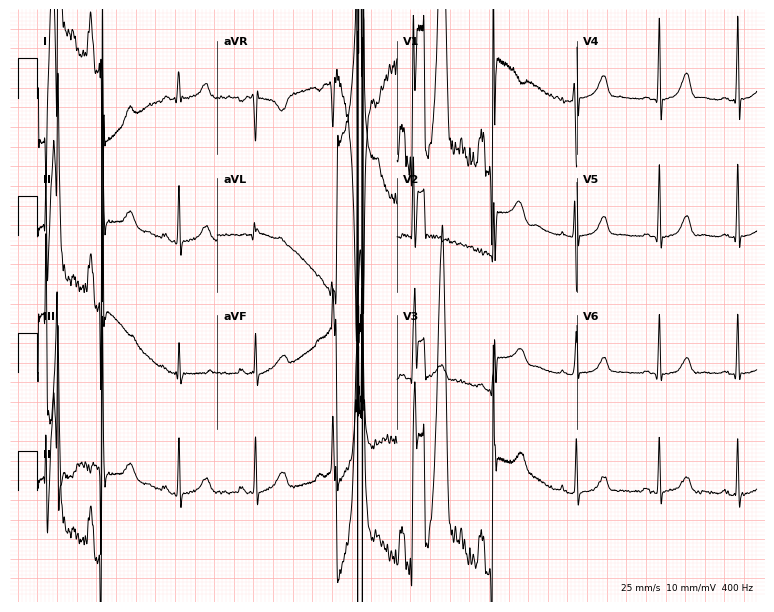
12-lead ECG from a woman, 29 years old. Labelled as a normal ECG.